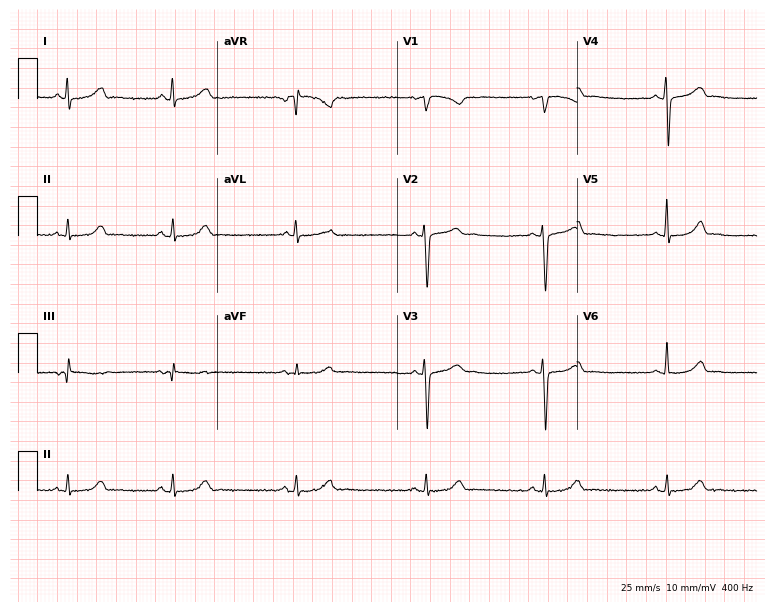
Resting 12-lead electrocardiogram. Patient: a 23-year-old woman. The tracing shows right bundle branch block, sinus bradycardia (a sinus rate of 50 beats per minute or less).